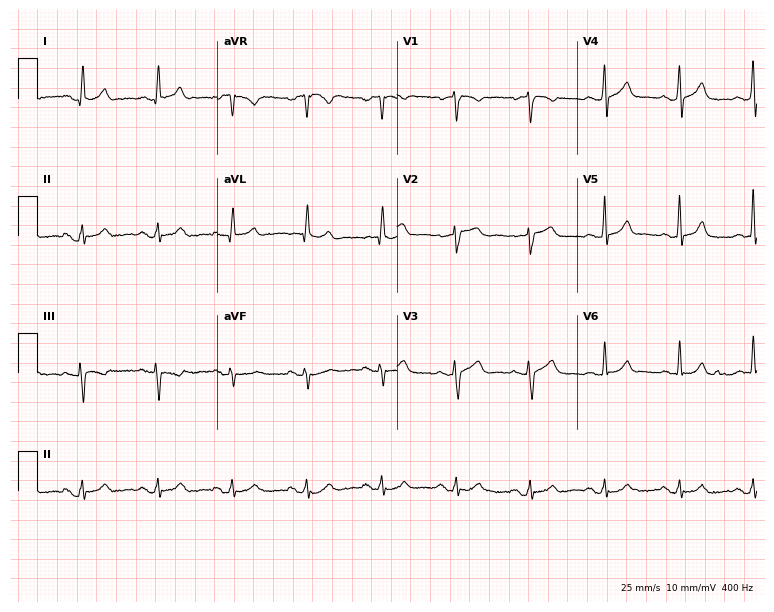
ECG — a 51-year-old male patient. Labelled as a normal ECG.